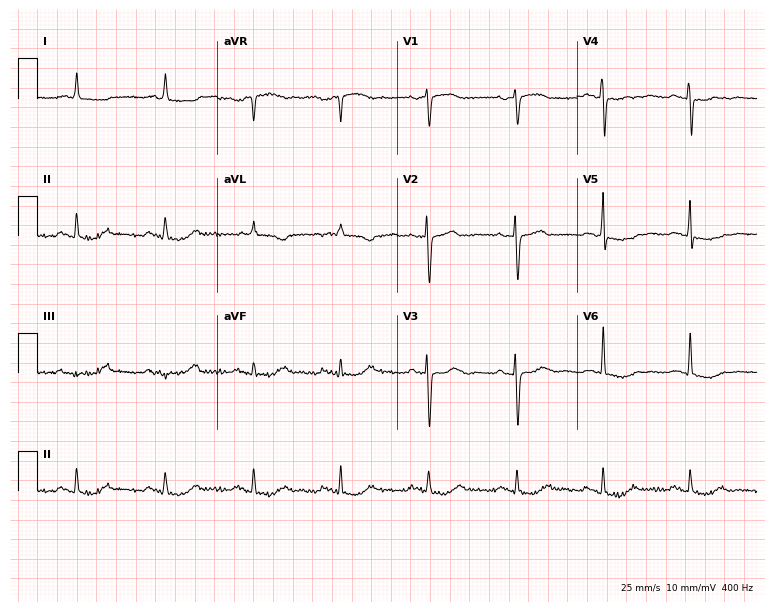
Standard 12-lead ECG recorded from an 82-year-old woman. None of these six findings is recorded: first-degree AV block, right bundle branch block (RBBB), left bundle branch block (LBBB), sinus bradycardia, atrial fibrillation (AF), sinus tachycardia. Only these six findings were labelled.